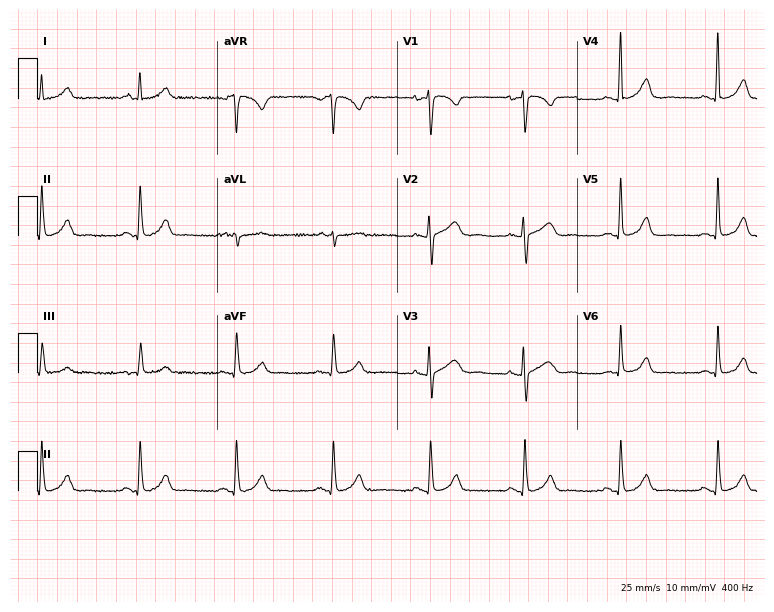
Electrocardiogram, a man, 35 years old. Of the six screened findings (first-degree AV block, right bundle branch block (RBBB), left bundle branch block (LBBB), sinus bradycardia, atrial fibrillation (AF), sinus tachycardia), none is recorded.